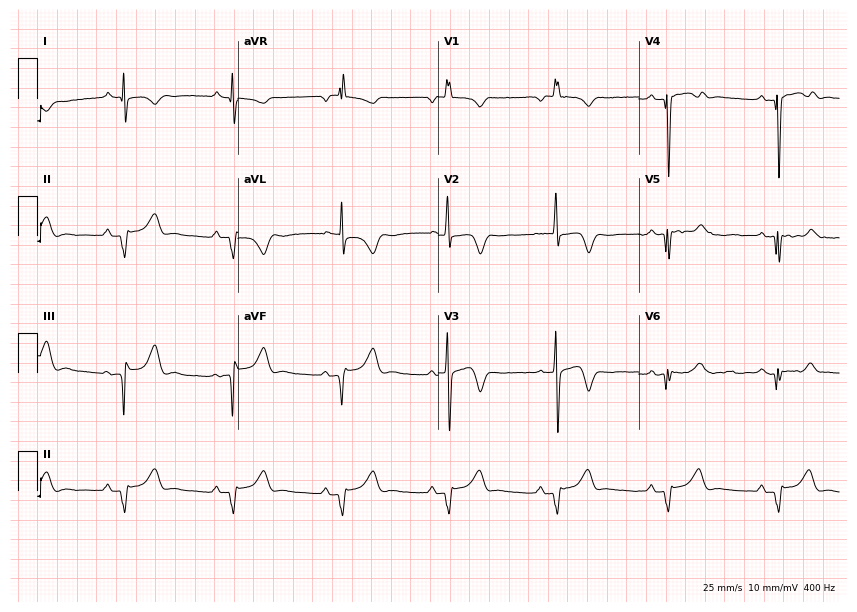
Electrocardiogram, a male patient, 31 years old. Of the six screened findings (first-degree AV block, right bundle branch block, left bundle branch block, sinus bradycardia, atrial fibrillation, sinus tachycardia), none is recorded.